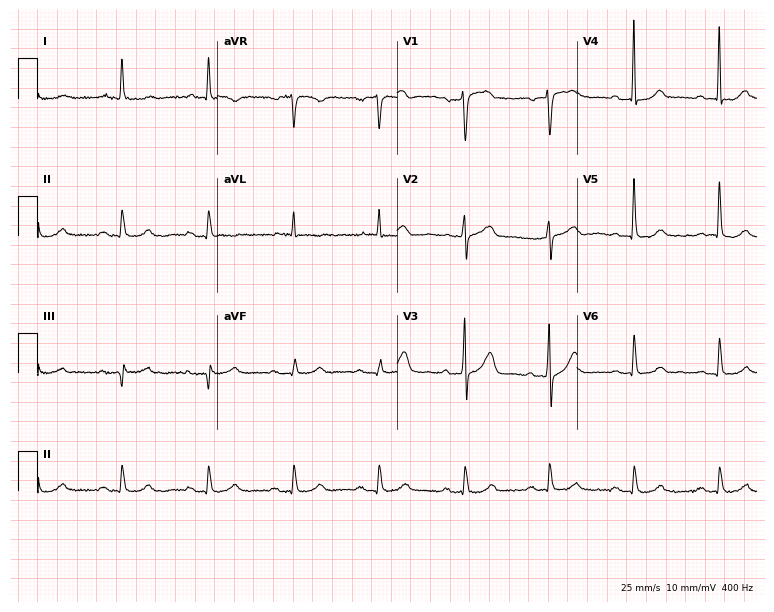
Standard 12-lead ECG recorded from a male patient, 69 years old. None of these six findings is recorded: first-degree AV block, right bundle branch block, left bundle branch block, sinus bradycardia, atrial fibrillation, sinus tachycardia. Other findings, if any, are not listed.